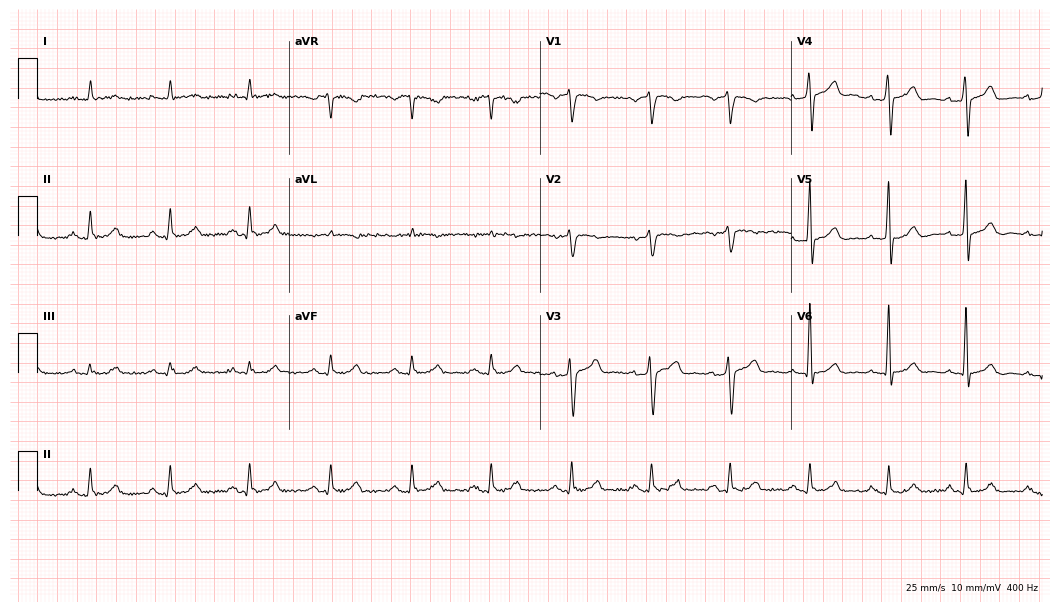
12-lead ECG (10.2-second recording at 400 Hz) from a male patient, 47 years old. Screened for six findings — first-degree AV block, right bundle branch block, left bundle branch block, sinus bradycardia, atrial fibrillation, sinus tachycardia — none is recorded.